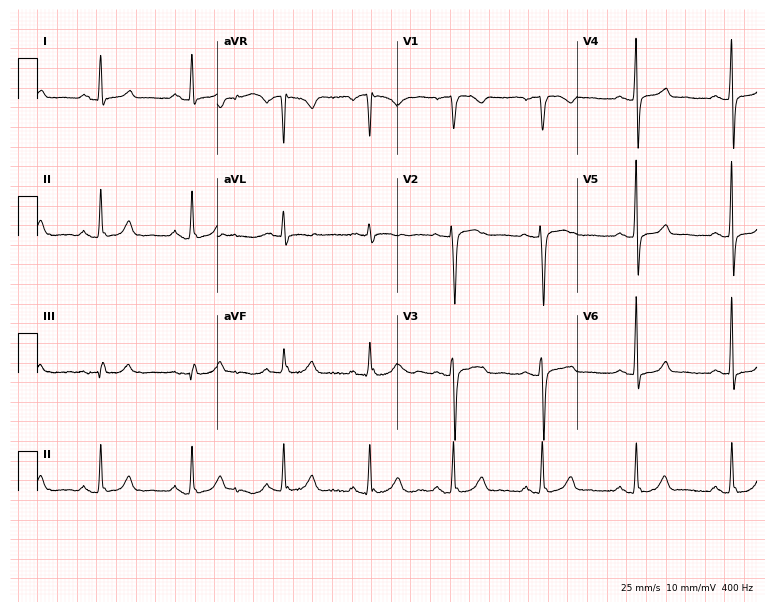
Electrocardiogram, a 55-year-old male. Of the six screened findings (first-degree AV block, right bundle branch block, left bundle branch block, sinus bradycardia, atrial fibrillation, sinus tachycardia), none is recorded.